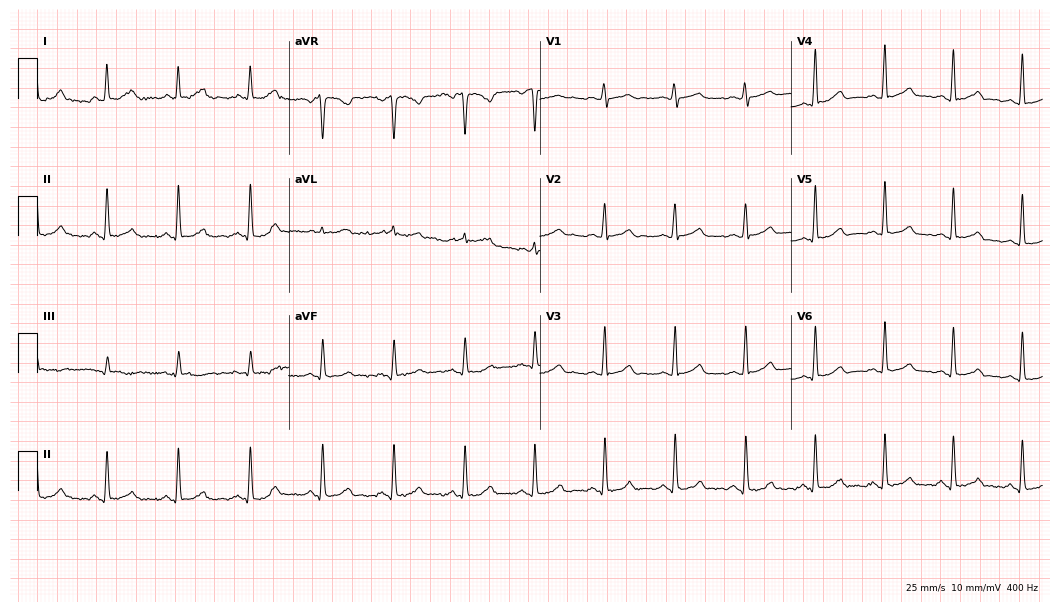
Electrocardiogram (10.2-second recording at 400 Hz), a woman, 41 years old. Of the six screened findings (first-degree AV block, right bundle branch block (RBBB), left bundle branch block (LBBB), sinus bradycardia, atrial fibrillation (AF), sinus tachycardia), none is recorded. Other findings, if any, are not listed.